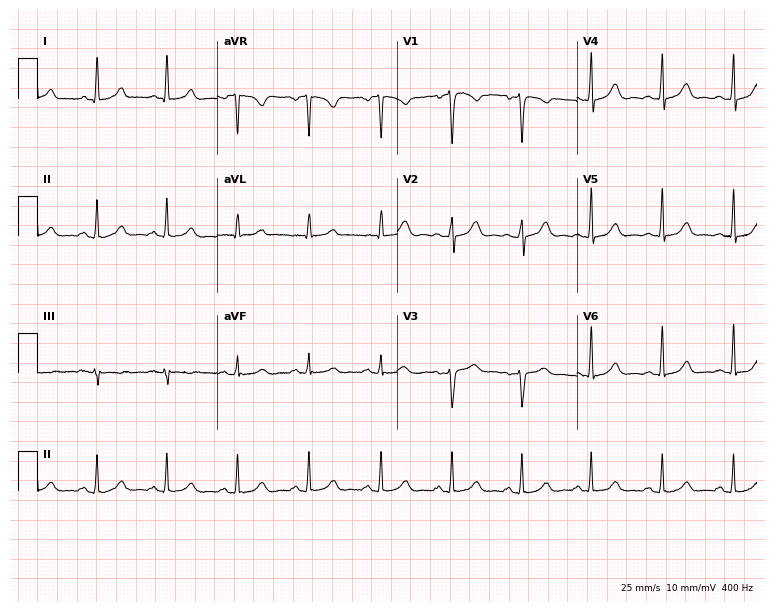
12-lead ECG from a female, 36 years old. Recorded interpretation: within normal limits.